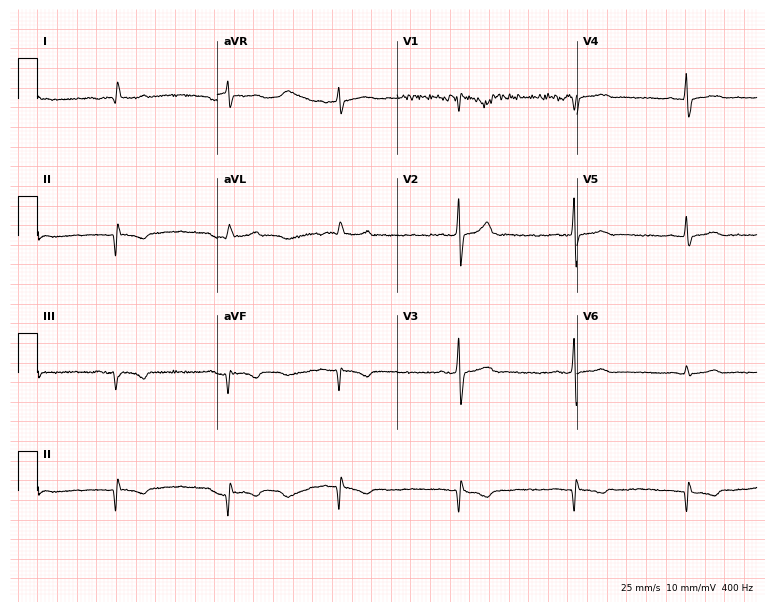
Electrocardiogram (7.3-second recording at 400 Hz), a male patient, 53 years old. Of the six screened findings (first-degree AV block, right bundle branch block, left bundle branch block, sinus bradycardia, atrial fibrillation, sinus tachycardia), none is recorded. Only these six findings were labelled.